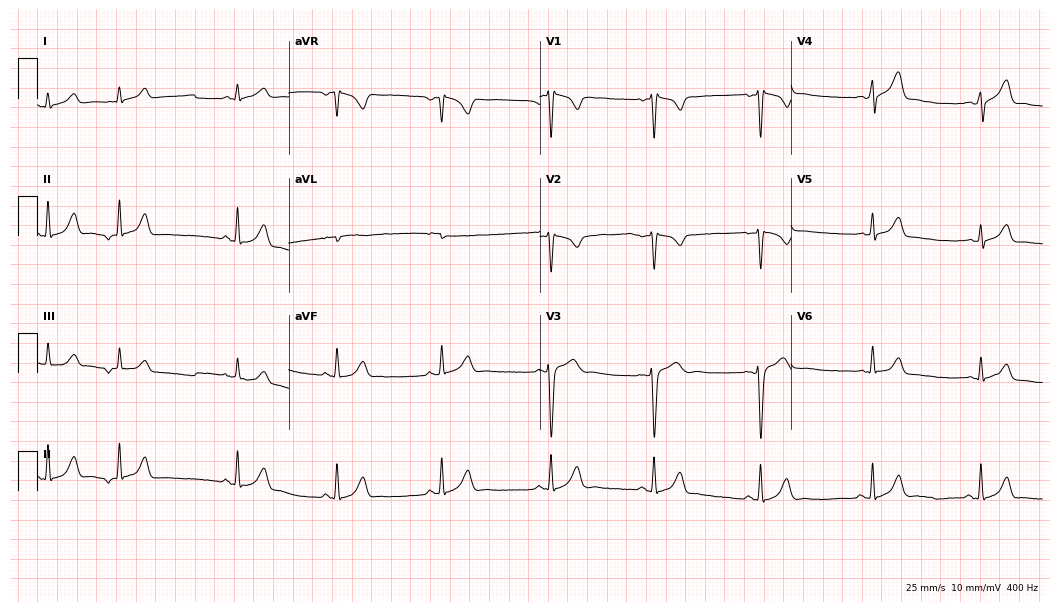
ECG (10.2-second recording at 400 Hz) — a 24-year-old male patient. Screened for six findings — first-degree AV block, right bundle branch block (RBBB), left bundle branch block (LBBB), sinus bradycardia, atrial fibrillation (AF), sinus tachycardia — none is recorded. Other findings, if any, are not listed.